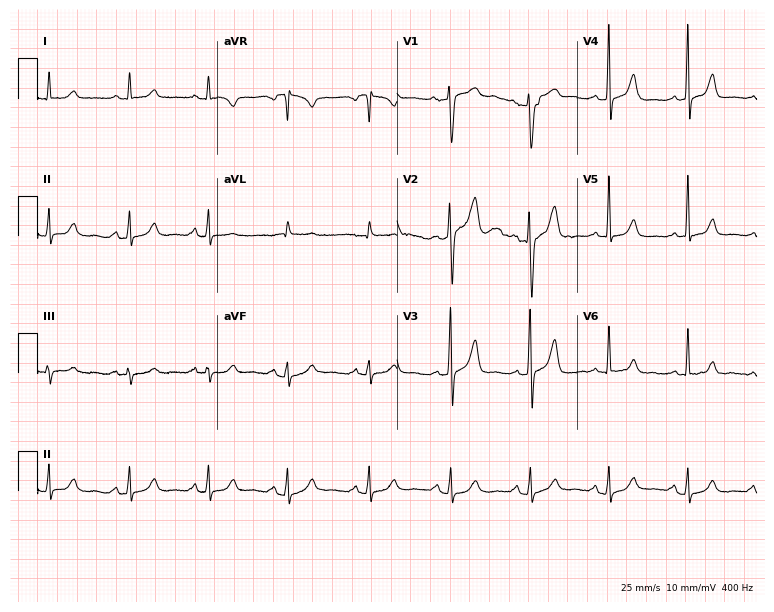
Electrocardiogram, a male patient, 62 years old. Of the six screened findings (first-degree AV block, right bundle branch block (RBBB), left bundle branch block (LBBB), sinus bradycardia, atrial fibrillation (AF), sinus tachycardia), none is recorded.